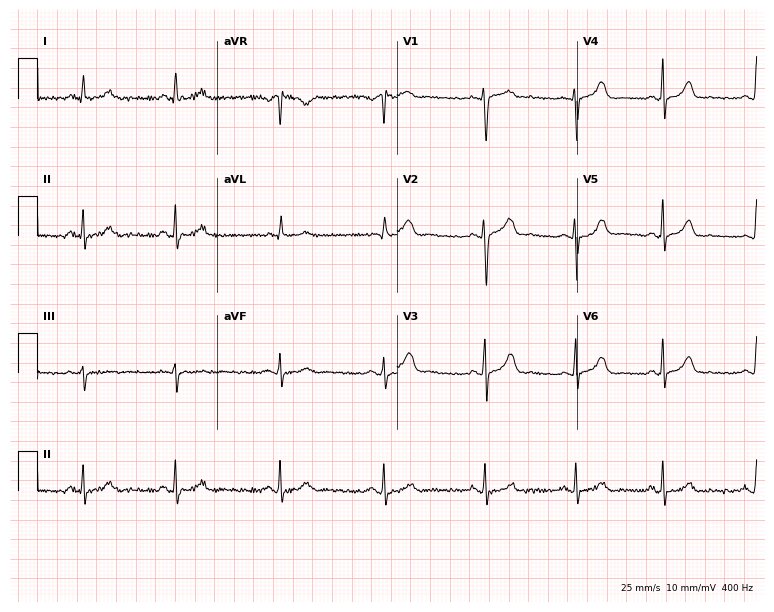
12-lead ECG from a female patient, 31 years old. No first-degree AV block, right bundle branch block, left bundle branch block, sinus bradycardia, atrial fibrillation or sinus tachycardia recorded for this tracing.